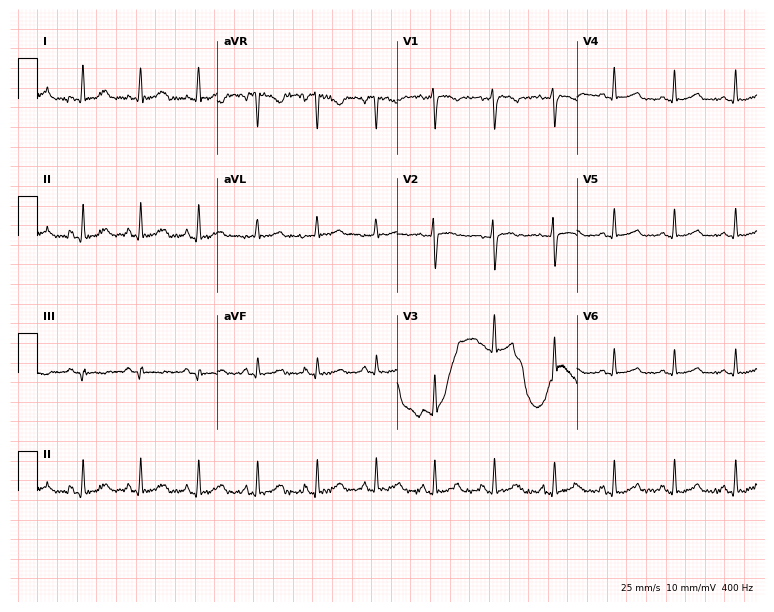
Standard 12-lead ECG recorded from a female, 25 years old. Read as a normal ECG.